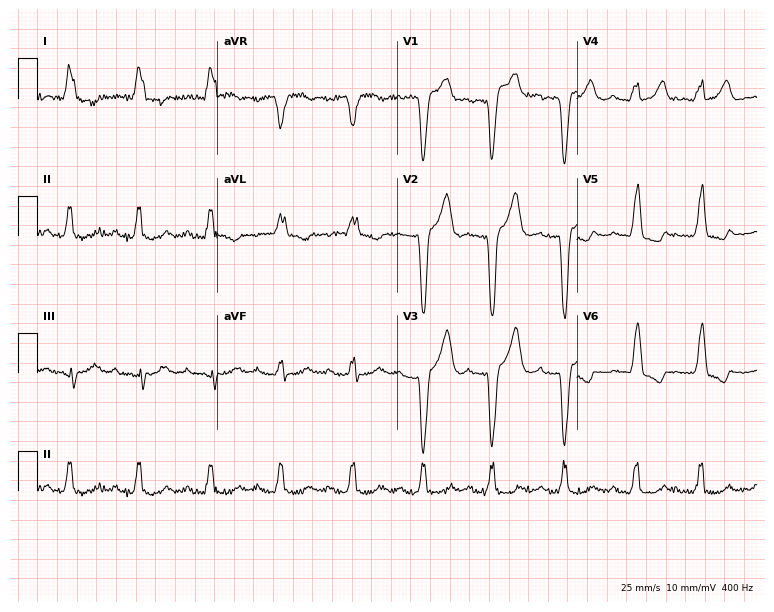
ECG (7.3-second recording at 400 Hz) — an 86-year-old female patient. Screened for six findings — first-degree AV block, right bundle branch block (RBBB), left bundle branch block (LBBB), sinus bradycardia, atrial fibrillation (AF), sinus tachycardia — none is recorded. Other findings, if any, are not listed.